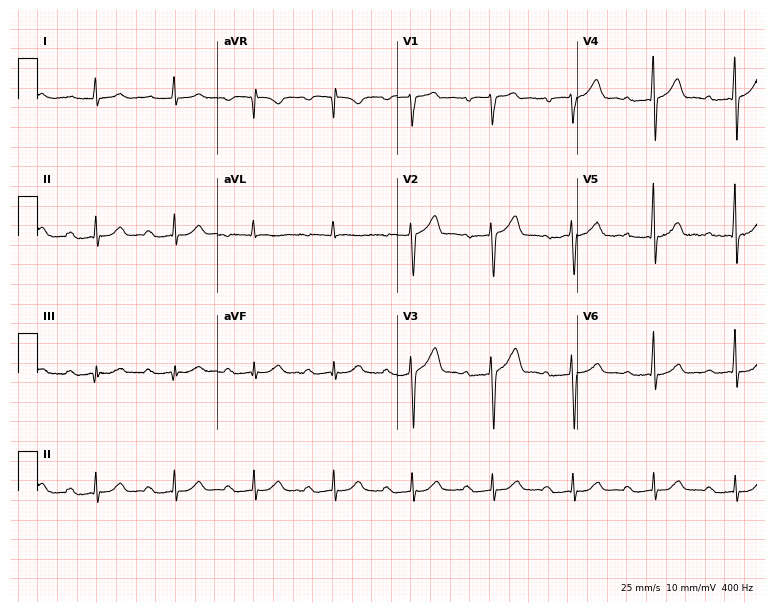
Electrocardiogram (7.3-second recording at 400 Hz), a 67-year-old man. Interpretation includes first-degree AV block.